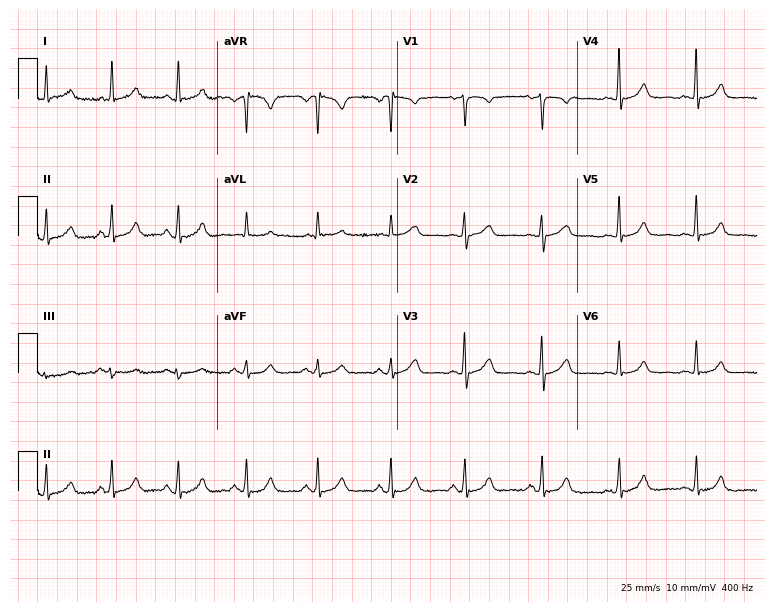
Standard 12-lead ECG recorded from a 54-year-old female patient. Read as a normal ECG.